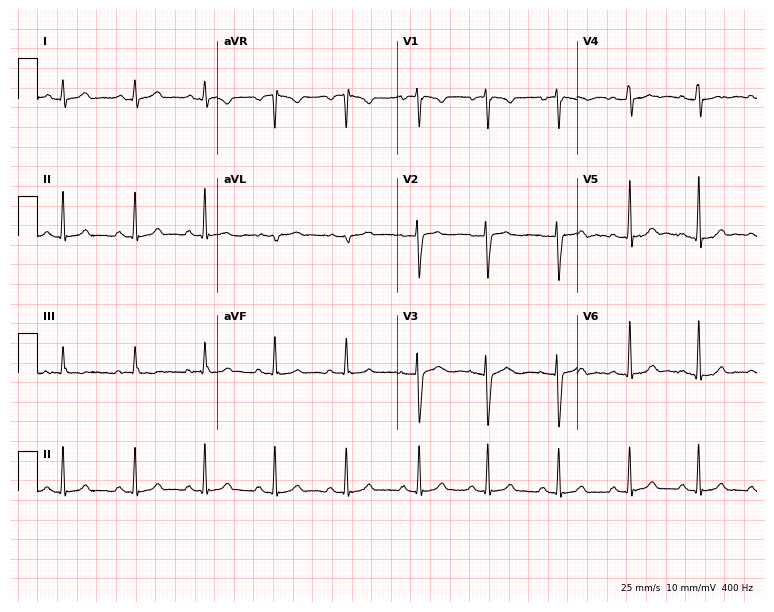
ECG — a woman, 27 years old. Screened for six findings — first-degree AV block, right bundle branch block (RBBB), left bundle branch block (LBBB), sinus bradycardia, atrial fibrillation (AF), sinus tachycardia — none is recorded. Only these six findings were labelled.